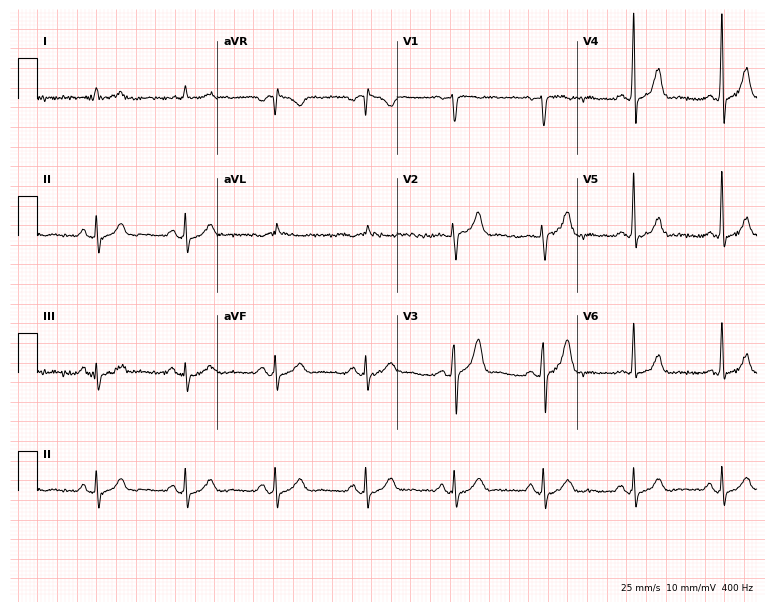
Resting 12-lead electrocardiogram. Patient: a male, 48 years old. Read as a normal ECG.